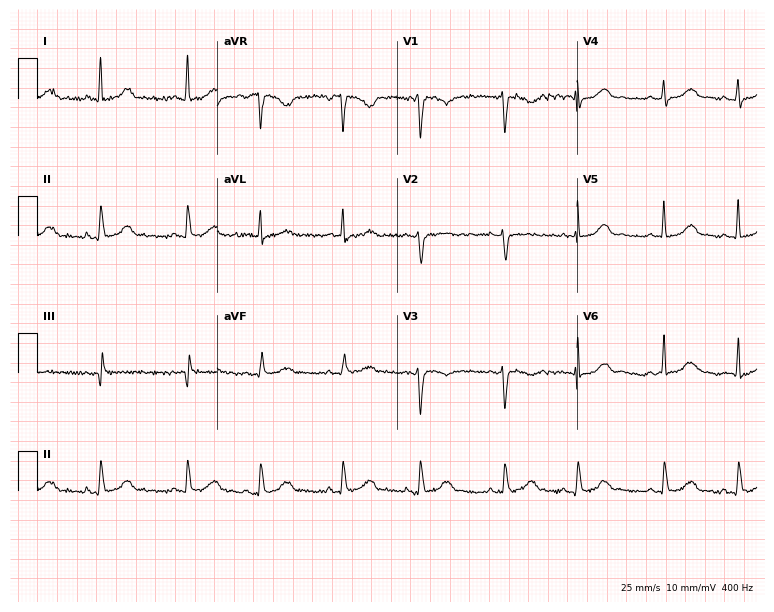
12-lead ECG from a woman, 64 years old. Labelled as a normal ECG.